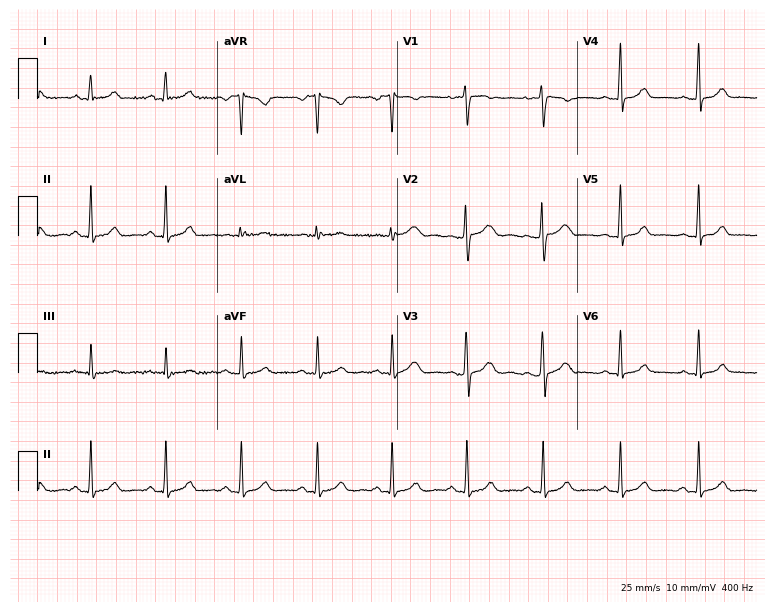
ECG — a 29-year-old woman. Labelled as a normal ECG.